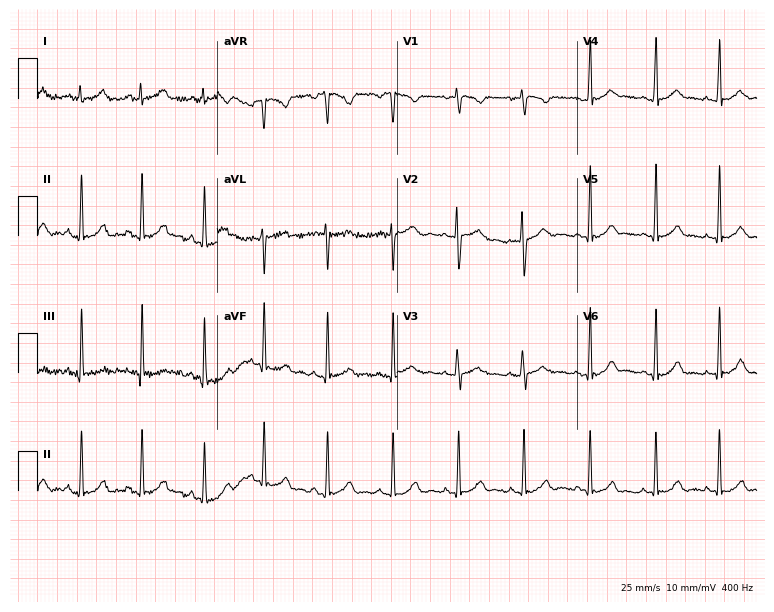
Standard 12-lead ECG recorded from a 19-year-old female. None of these six findings is recorded: first-degree AV block, right bundle branch block, left bundle branch block, sinus bradycardia, atrial fibrillation, sinus tachycardia.